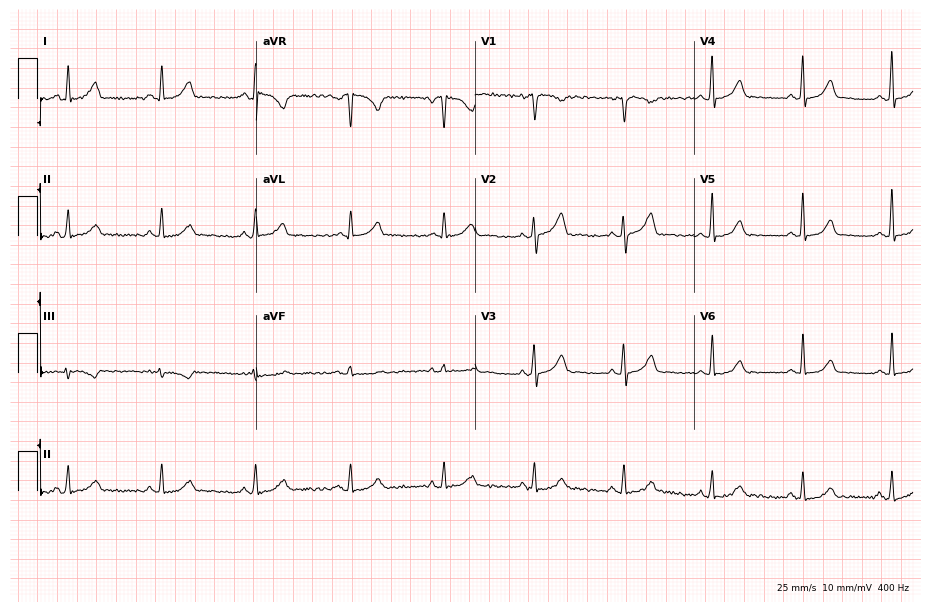
Electrocardiogram (8.9-second recording at 400 Hz), a 39-year-old female. Of the six screened findings (first-degree AV block, right bundle branch block, left bundle branch block, sinus bradycardia, atrial fibrillation, sinus tachycardia), none is recorded.